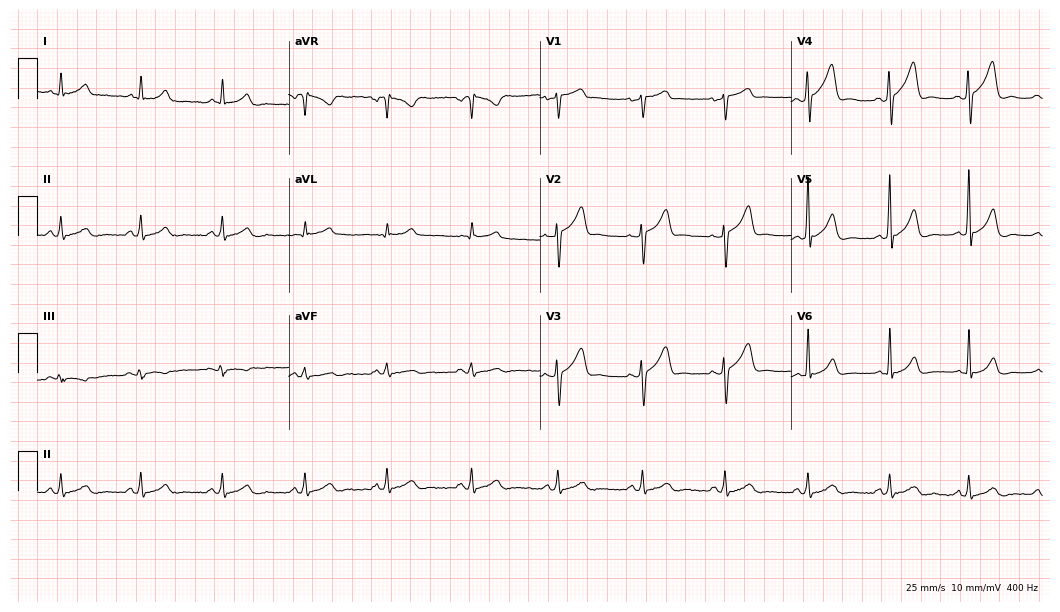
ECG (10.2-second recording at 400 Hz) — a 48-year-old man. Screened for six findings — first-degree AV block, right bundle branch block (RBBB), left bundle branch block (LBBB), sinus bradycardia, atrial fibrillation (AF), sinus tachycardia — none is recorded. Findings outside these six are not listed.